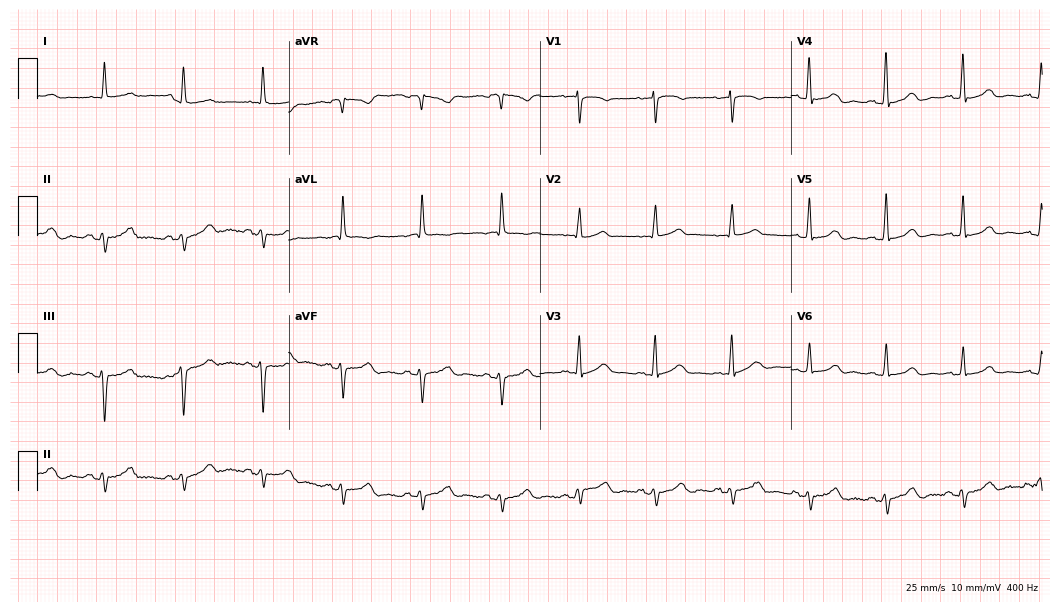
12-lead ECG (10.2-second recording at 400 Hz) from an 85-year-old female patient. Screened for six findings — first-degree AV block, right bundle branch block (RBBB), left bundle branch block (LBBB), sinus bradycardia, atrial fibrillation (AF), sinus tachycardia — none is recorded.